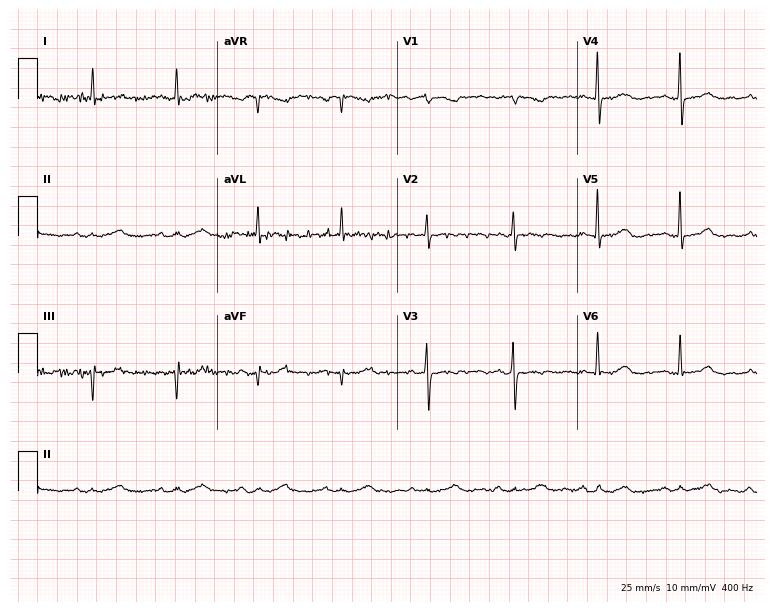
12-lead ECG (7.3-second recording at 400 Hz) from a female patient, 77 years old. Screened for six findings — first-degree AV block, right bundle branch block (RBBB), left bundle branch block (LBBB), sinus bradycardia, atrial fibrillation (AF), sinus tachycardia — none is recorded.